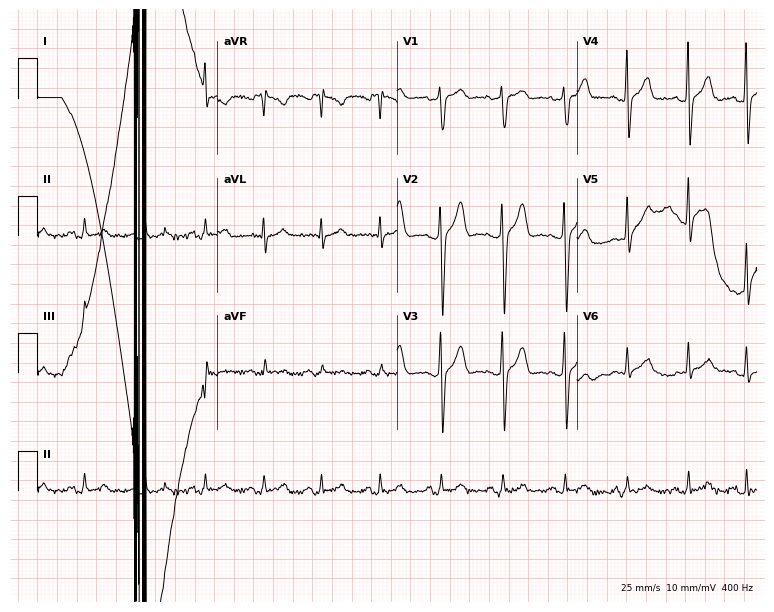
Standard 12-lead ECG recorded from a man, 34 years old (7.3-second recording at 400 Hz). None of these six findings is recorded: first-degree AV block, right bundle branch block, left bundle branch block, sinus bradycardia, atrial fibrillation, sinus tachycardia. Other findings, if any, are not listed.